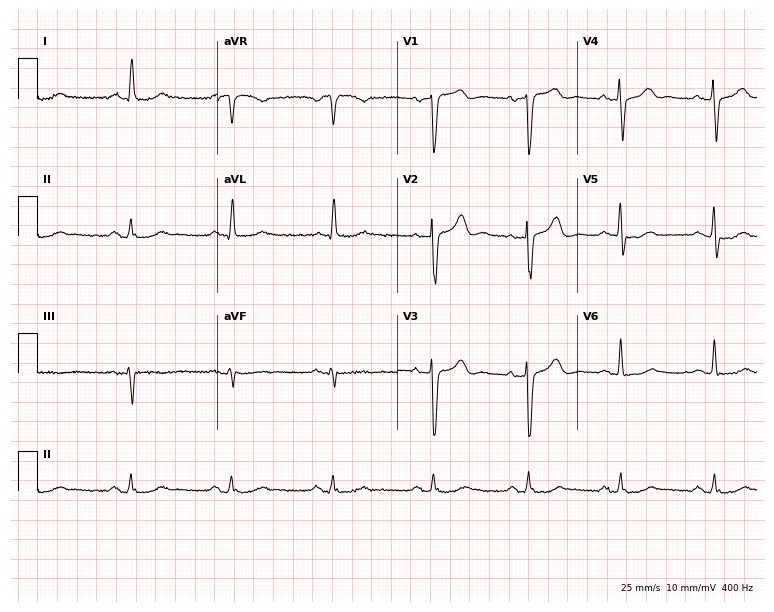
ECG (7.3-second recording at 400 Hz) — a 77-year-old man. Labelled as a normal ECG.